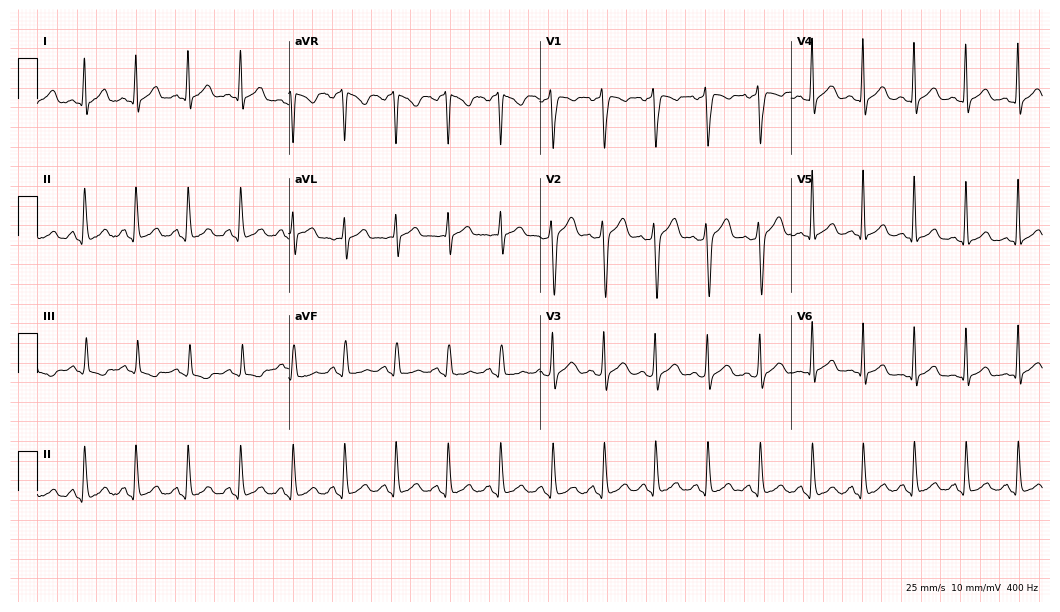
12-lead ECG from a 38-year-old male patient. No first-degree AV block, right bundle branch block, left bundle branch block, sinus bradycardia, atrial fibrillation or sinus tachycardia recorded for this tracing. Only these six findings were labelled.